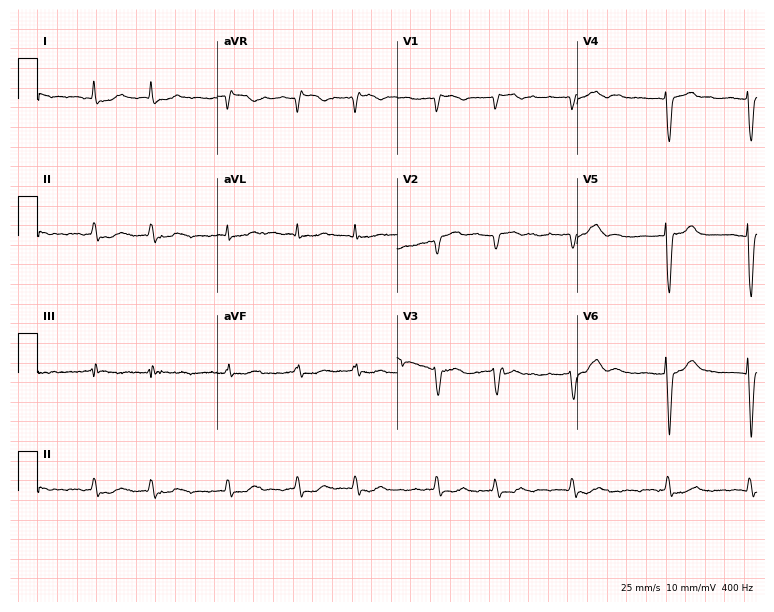
Resting 12-lead electrocardiogram (7.3-second recording at 400 Hz). Patient: a woman, 84 years old. None of these six findings is recorded: first-degree AV block, right bundle branch block (RBBB), left bundle branch block (LBBB), sinus bradycardia, atrial fibrillation (AF), sinus tachycardia. Other findings, if any, are not listed.